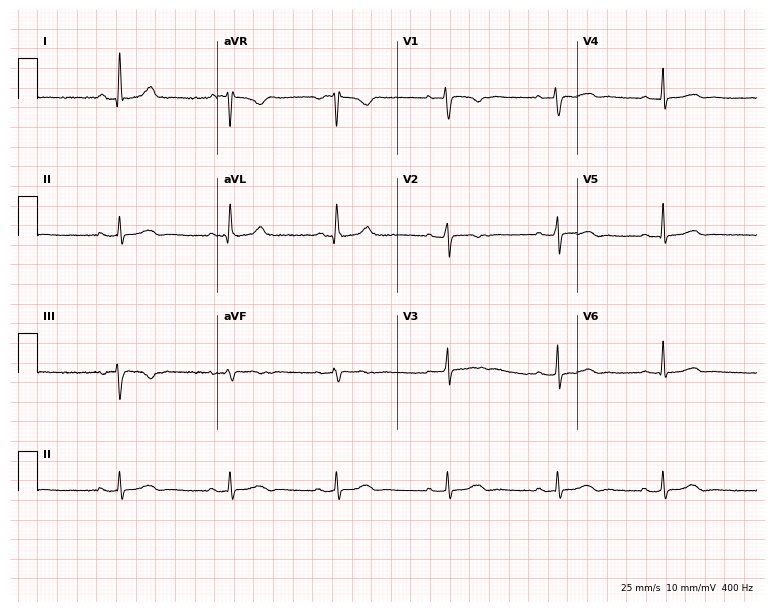
12-lead ECG from an 18-year-old woman. No first-degree AV block, right bundle branch block, left bundle branch block, sinus bradycardia, atrial fibrillation or sinus tachycardia recorded for this tracing.